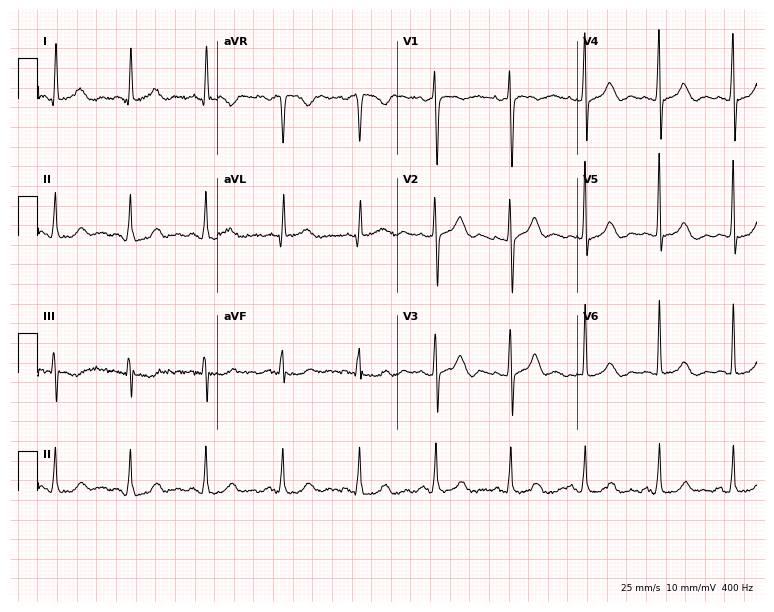
Electrocardiogram, a woman, 69 years old. Of the six screened findings (first-degree AV block, right bundle branch block (RBBB), left bundle branch block (LBBB), sinus bradycardia, atrial fibrillation (AF), sinus tachycardia), none is recorded. Only these six findings were labelled.